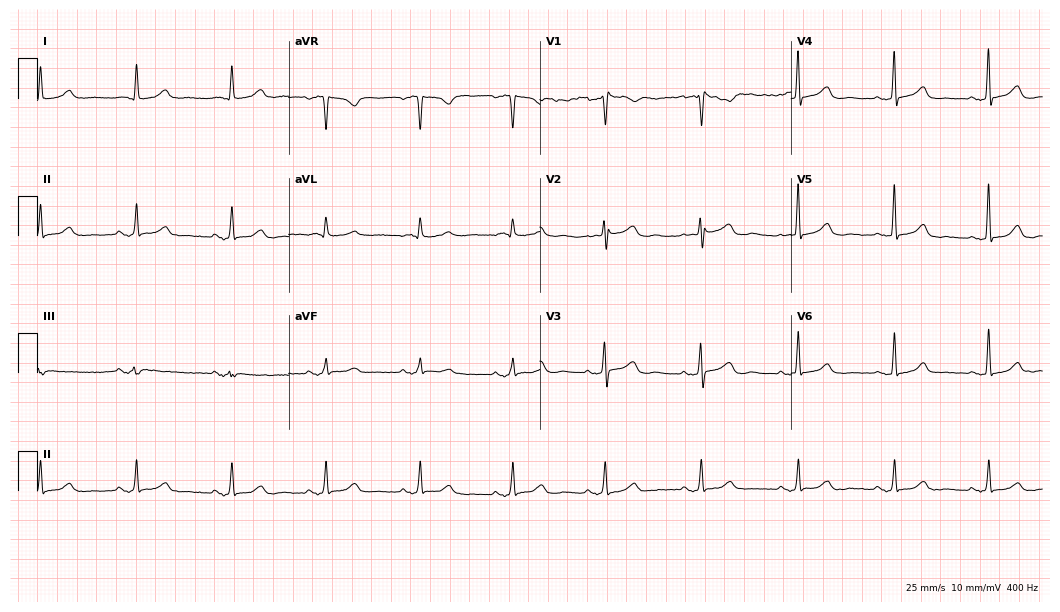
ECG — a female, 72 years old. Labelled as a normal ECG.